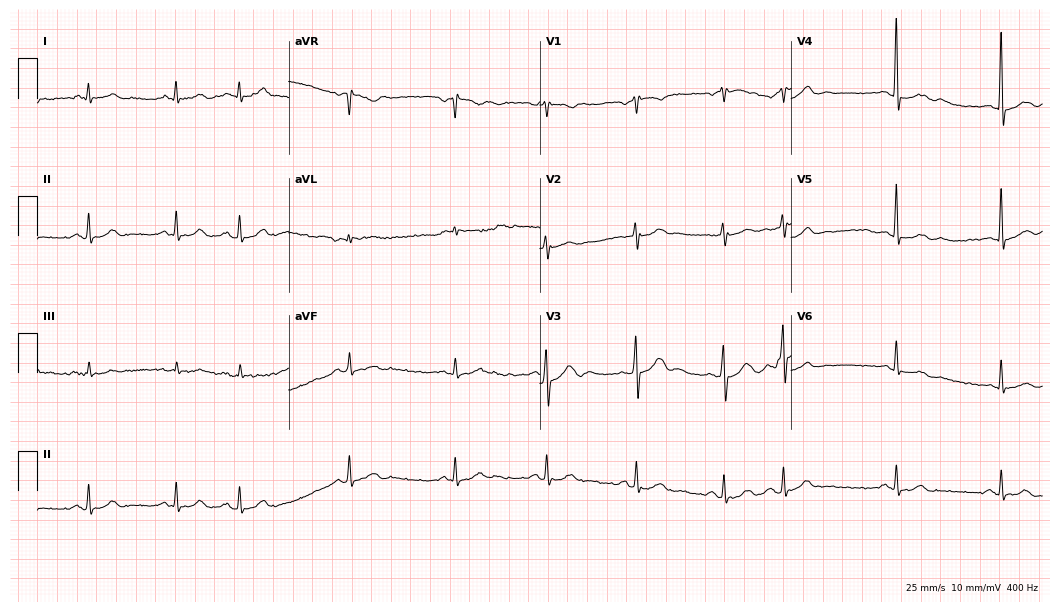
12-lead ECG from a 72-year-old man (10.2-second recording at 400 Hz). Recorded interpretation: within normal limits.